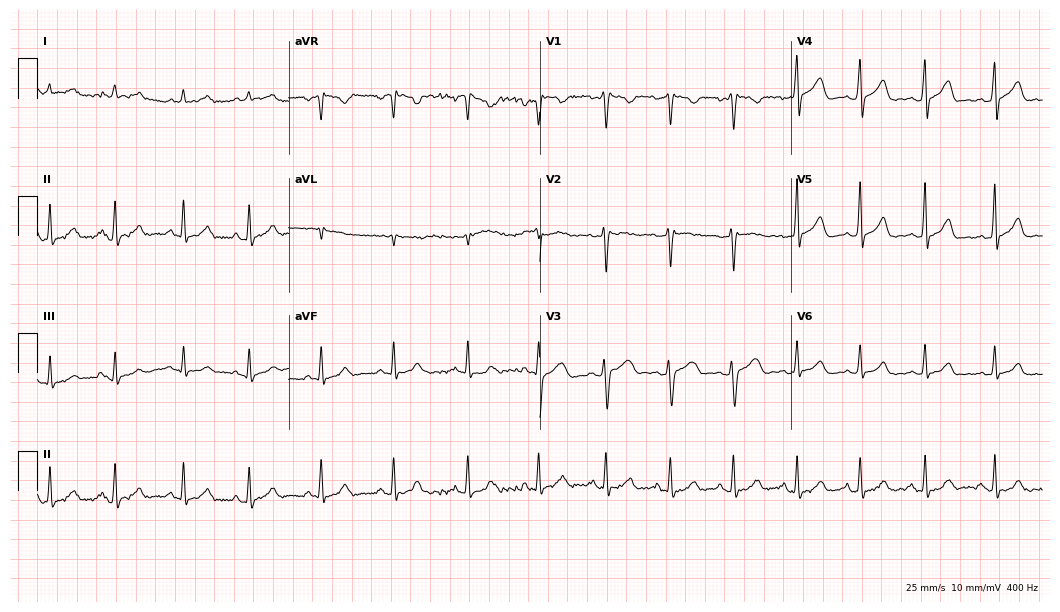
ECG — a female patient, 36 years old. Labelled as a normal ECG.